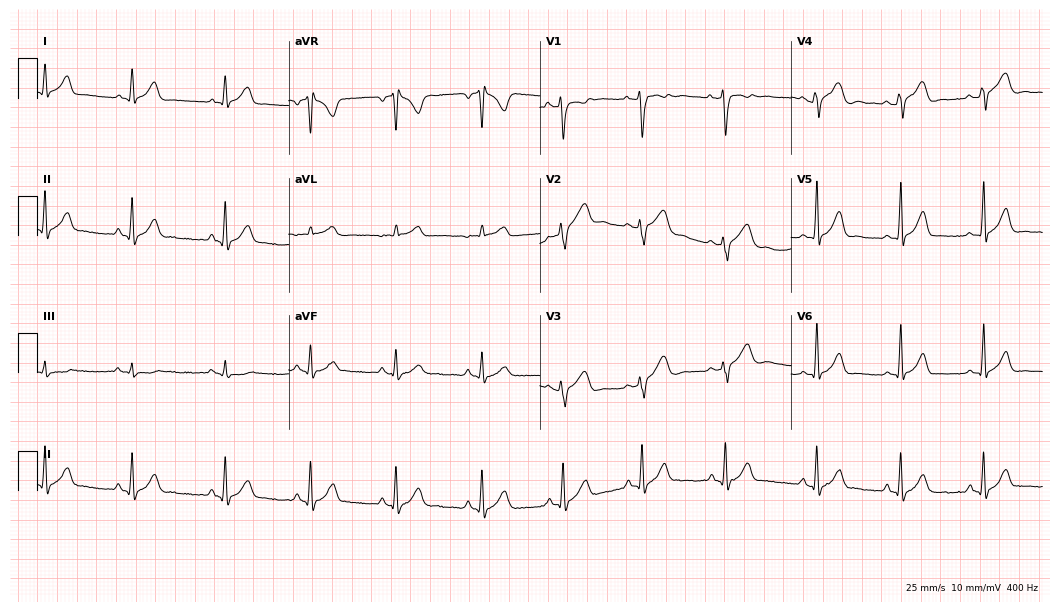
12-lead ECG (10.2-second recording at 400 Hz) from a male patient, 22 years old. Labelled as a normal ECG.